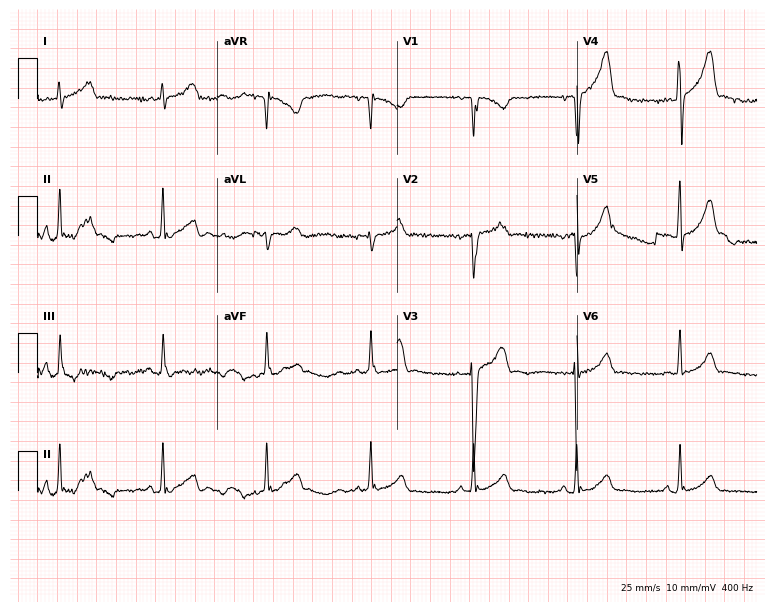
12-lead ECG from a male patient, 20 years old. Screened for six findings — first-degree AV block, right bundle branch block (RBBB), left bundle branch block (LBBB), sinus bradycardia, atrial fibrillation (AF), sinus tachycardia — none is recorded.